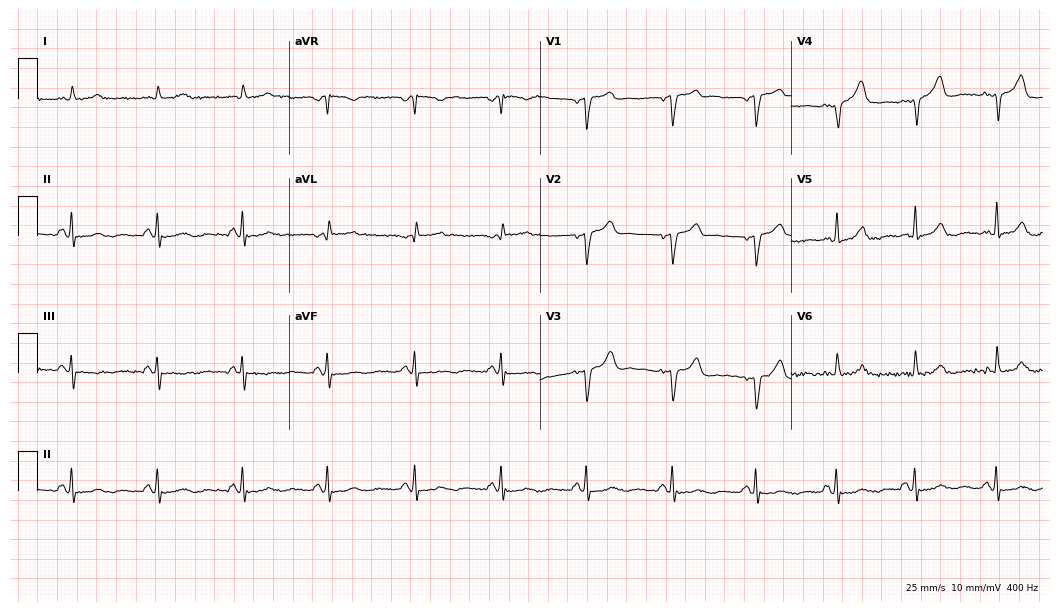
12-lead ECG from a female patient, 70 years old (10.2-second recording at 400 Hz). No first-degree AV block, right bundle branch block (RBBB), left bundle branch block (LBBB), sinus bradycardia, atrial fibrillation (AF) or sinus tachycardia recorded for this tracing. Findings outside these six are not listed.